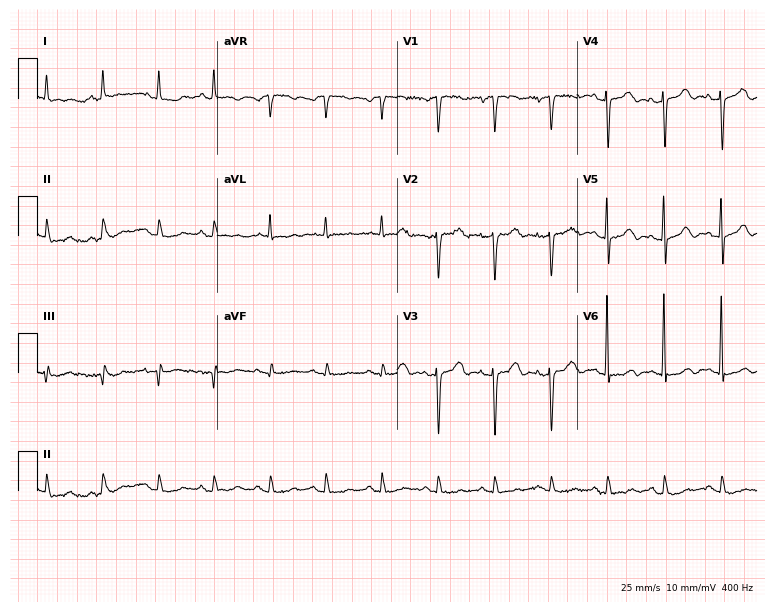
Electrocardiogram, an 80-year-old female patient. Of the six screened findings (first-degree AV block, right bundle branch block, left bundle branch block, sinus bradycardia, atrial fibrillation, sinus tachycardia), none is recorded.